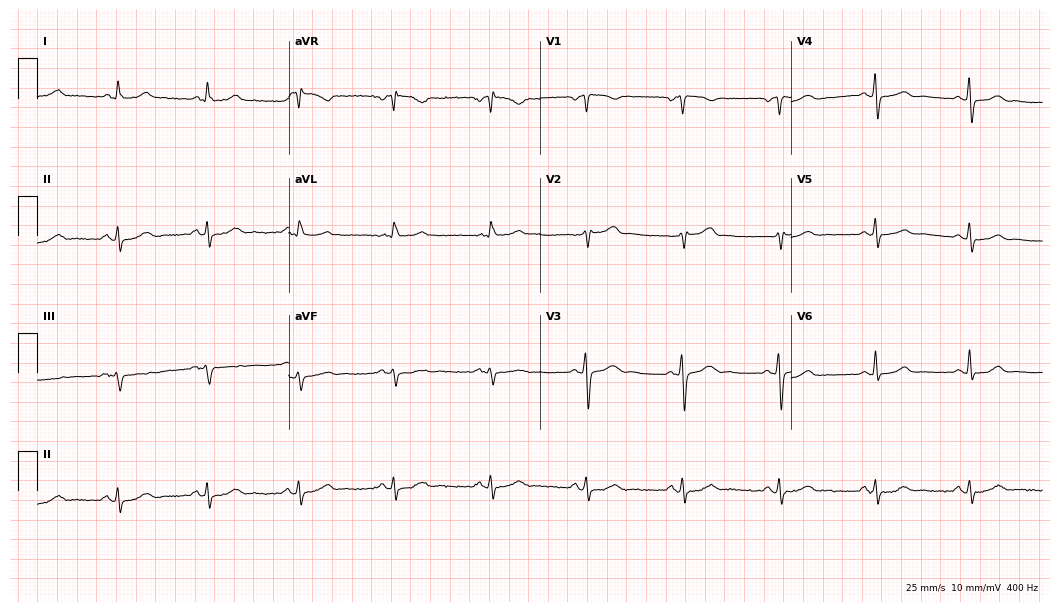
Standard 12-lead ECG recorded from a 58-year-old female. Read as a normal ECG.